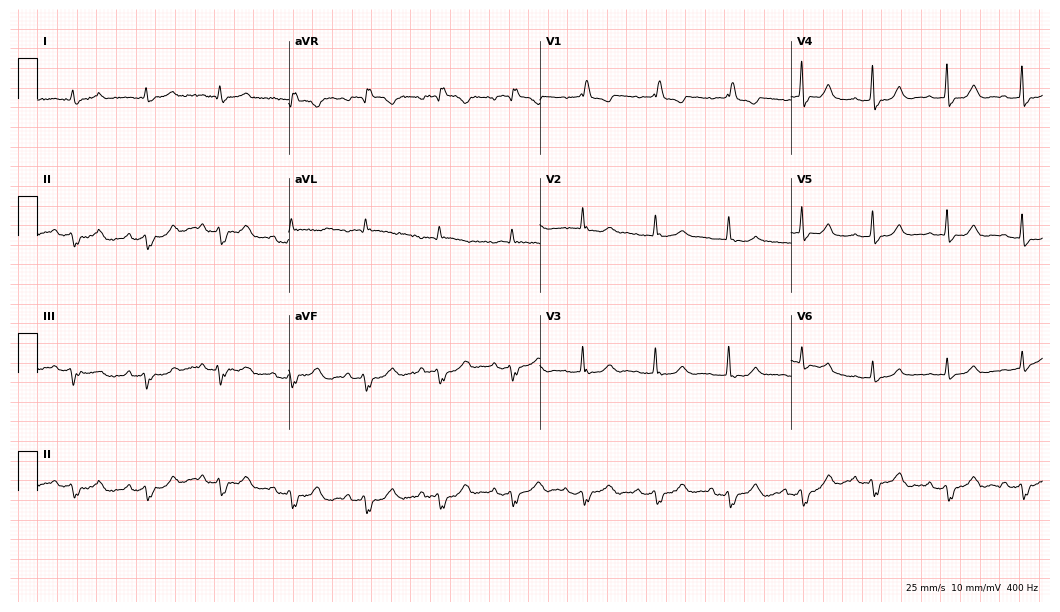
ECG (10.2-second recording at 400 Hz) — a 77-year-old female patient. Screened for six findings — first-degree AV block, right bundle branch block, left bundle branch block, sinus bradycardia, atrial fibrillation, sinus tachycardia — none is recorded.